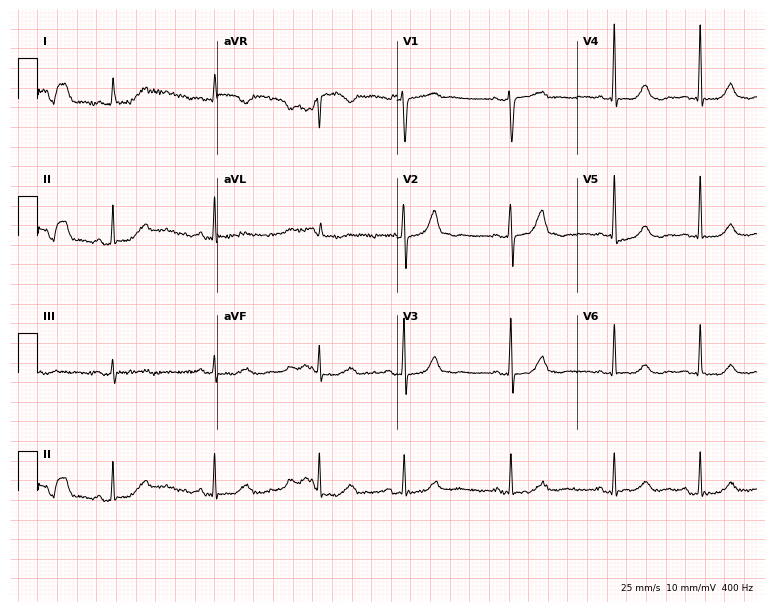
12-lead ECG from a female patient, 79 years old. No first-degree AV block, right bundle branch block, left bundle branch block, sinus bradycardia, atrial fibrillation or sinus tachycardia recorded for this tracing. Other findings, if any, are not listed.